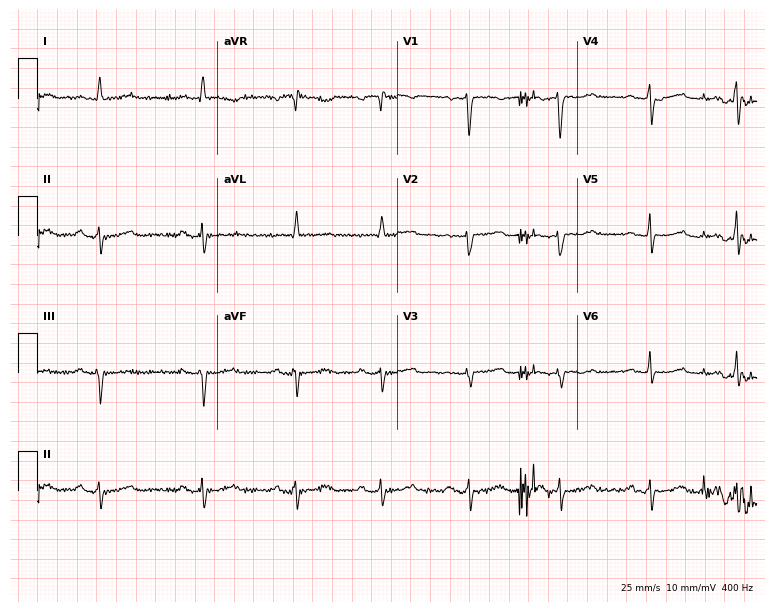
Standard 12-lead ECG recorded from a female patient, 65 years old. None of these six findings is recorded: first-degree AV block, right bundle branch block, left bundle branch block, sinus bradycardia, atrial fibrillation, sinus tachycardia.